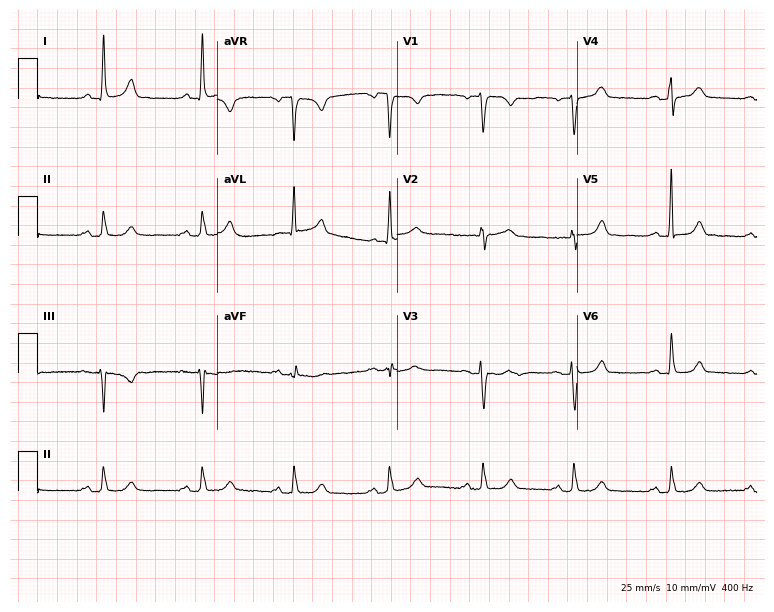
12-lead ECG from a 75-year-old female (7.3-second recording at 400 Hz). No first-degree AV block, right bundle branch block, left bundle branch block, sinus bradycardia, atrial fibrillation or sinus tachycardia recorded for this tracing.